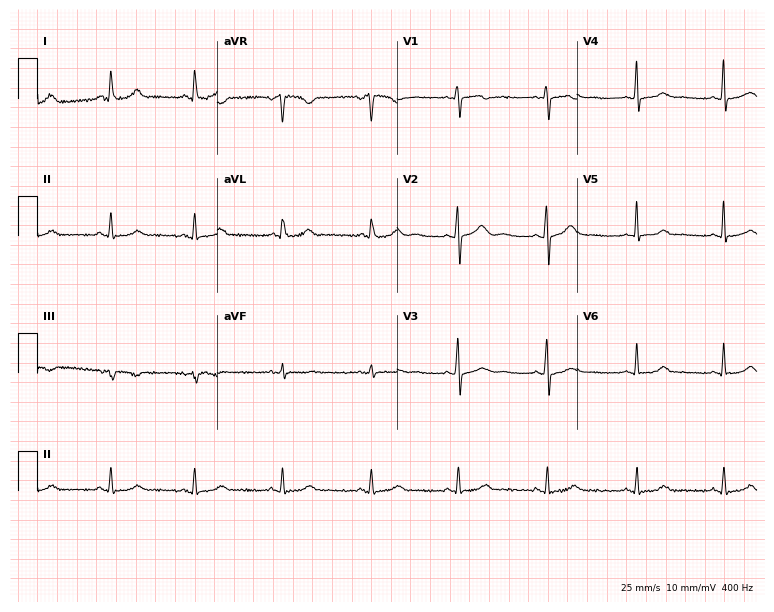
Standard 12-lead ECG recorded from a 38-year-old female. Read as a normal ECG.